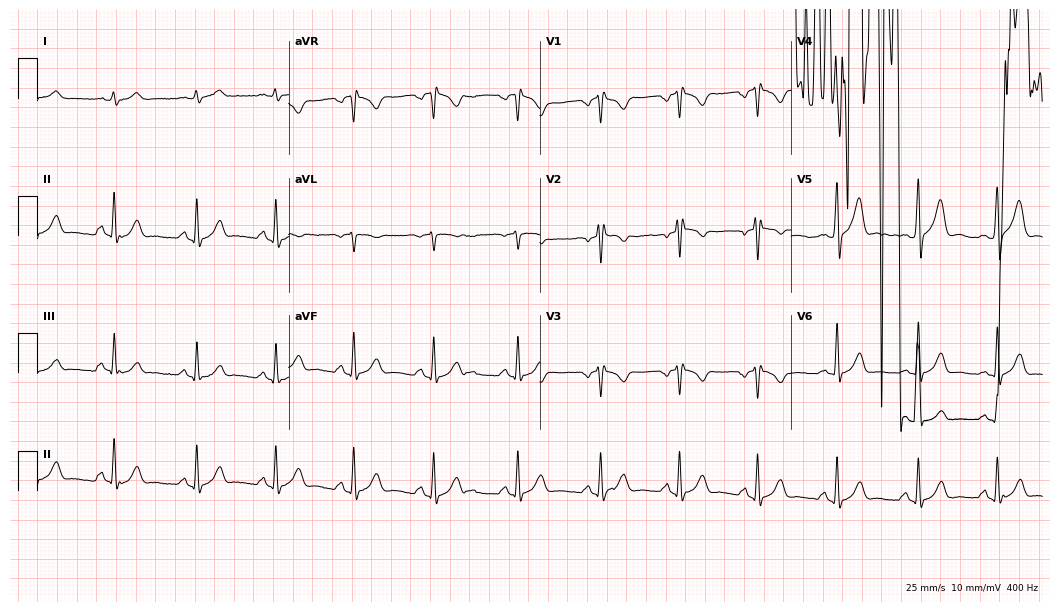
Electrocardiogram (10.2-second recording at 400 Hz), a 38-year-old male patient. Of the six screened findings (first-degree AV block, right bundle branch block, left bundle branch block, sinus bradycardia, atrial fibrillation, sinus tachycardia), none is recorded.